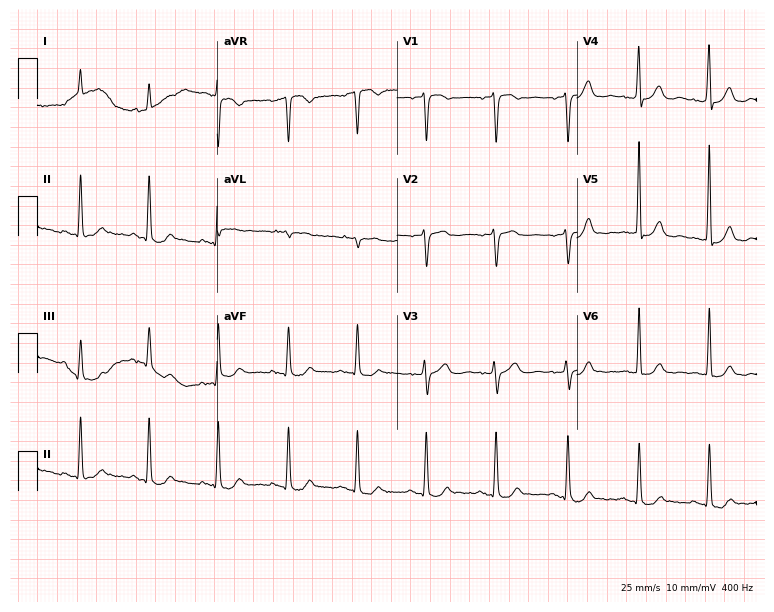
Electrocardiogram (7.3-second recording at 400 Hz), a 77-year-old female patient. Of the six screened findings (first-degree AV block, right bundle branch block, left bundle branch block, sinus bradycardia, atrial fibrillation, sinus tachycardia), none is recorded.